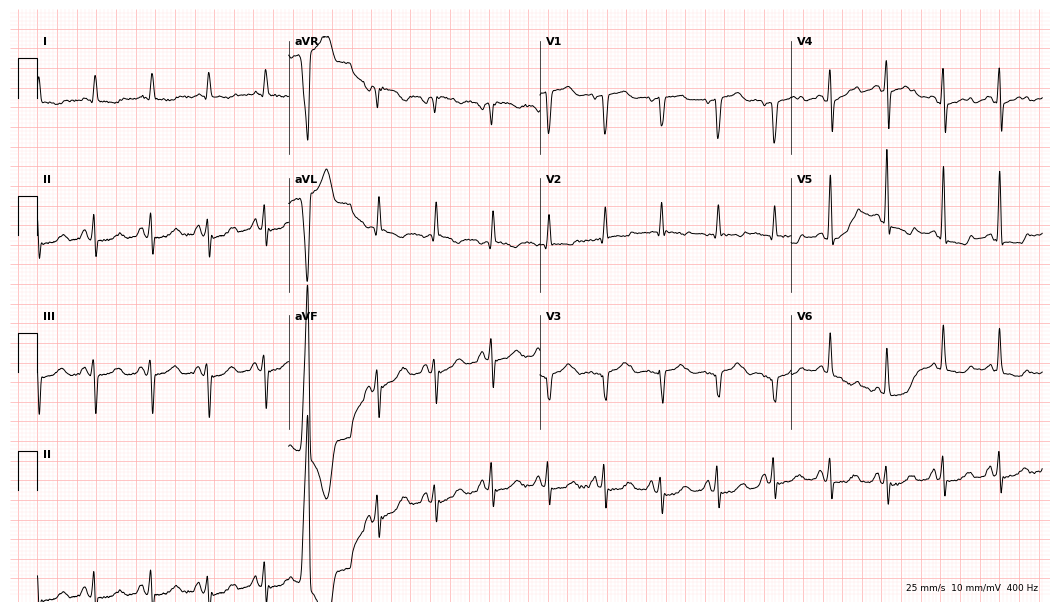
12-lead ECG from a female, 85 years old (10.2-second recording at 400 Hz). Shows sinus tachycardia (a sinus rate of 100 beats per minute or more).